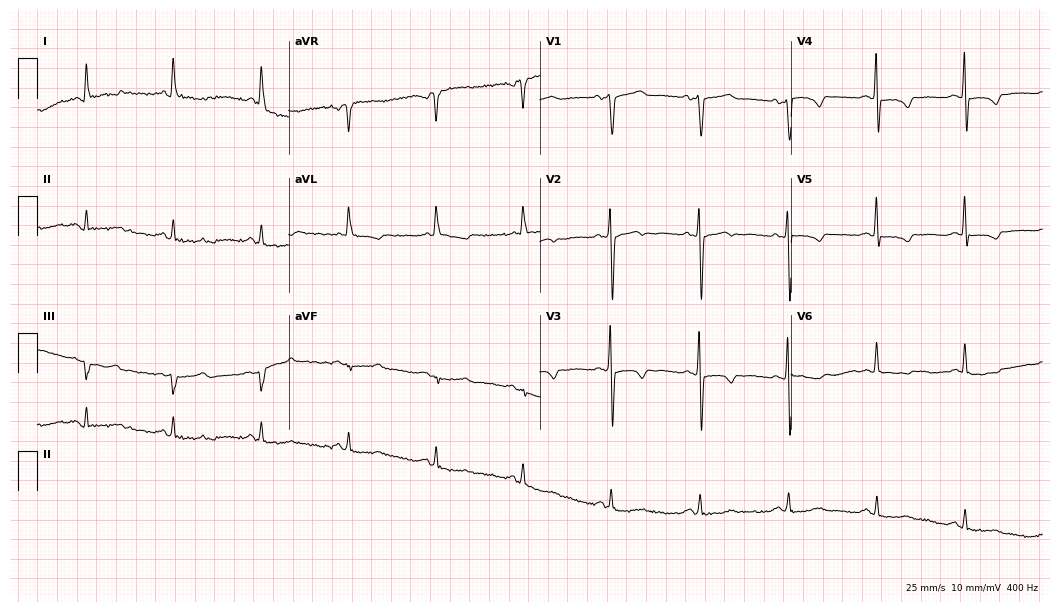
Standard 12-lead ECG recorded from a woman, 76 years old (10.2-second recording at 400 Hz). None of these six findings is recorded: first-degree AV block, right bundle branch block, left bundle branch block, sinus bradycardia, atrial fibrillation, sinus tachycardia. Findings outside these six are not listed.